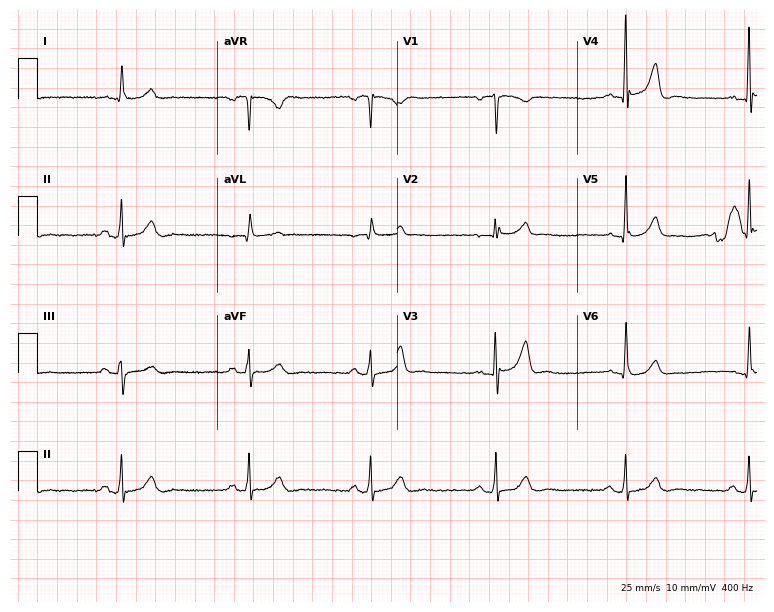
12-lead ECG from a 64-year-old man. No first-degree AV block, right bundle branch block, left bundle branch block, sinus bradycardia, atrial fibrillation or sinus tachycardia recorded for this tracing.